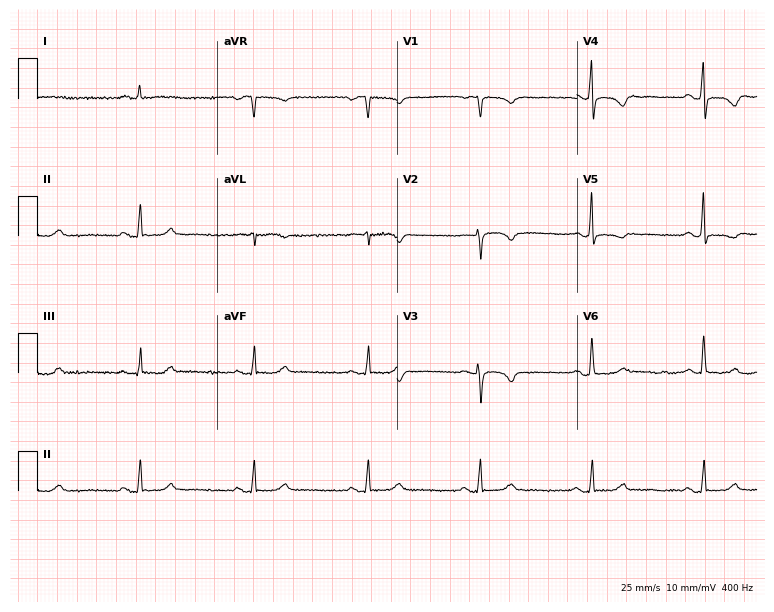
ECG — a woman, 47 years old. Screened for six findings — first-degree AV block, right bundle branch block (RBBB), left bundle branch block (LBBB), sinus bradycardia, atrial fibrillation (AF), sinus tachycardia — none is recorded. Findings outside these six are not listed.